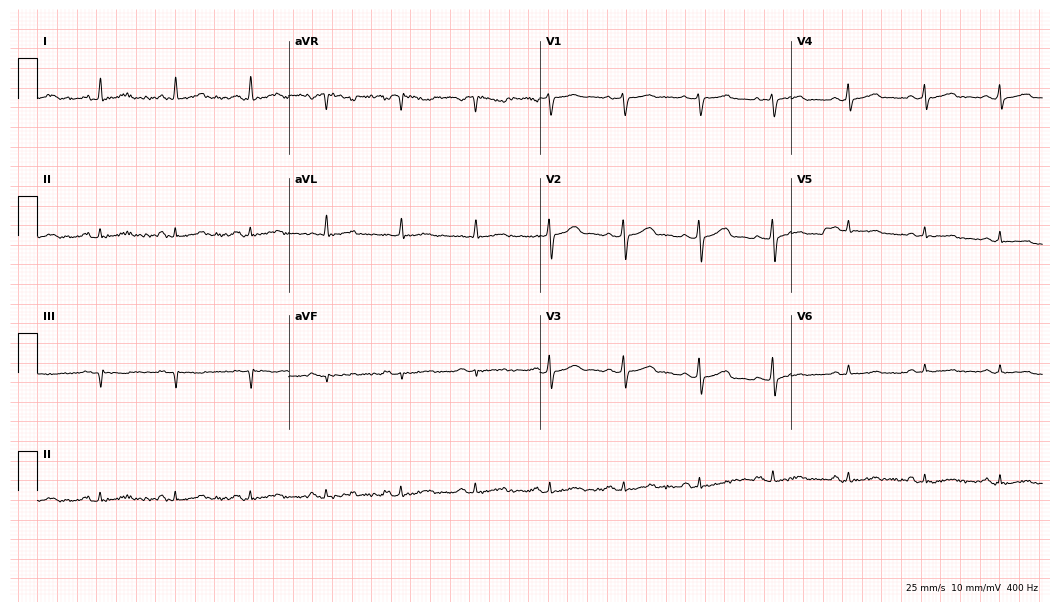
Resting 12-lead electrocardiogram. Patient: a female, 48 years old. None of these six findings is recorded: first-degree AV block, right bundle branch block, left bundle branch block, sinus bradycardia, atrial fibrillation, sinus tachycardia. Only these six findings were labelled.